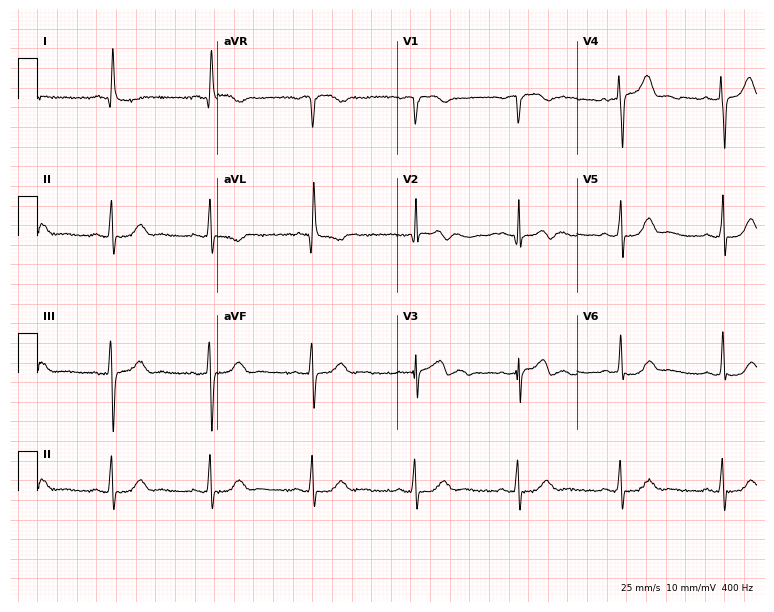
Resting 12-lead electrocardiogram (7.3-second recording at 400 Hz). Patient: a 73-year-old man. Read as a normal ECG.